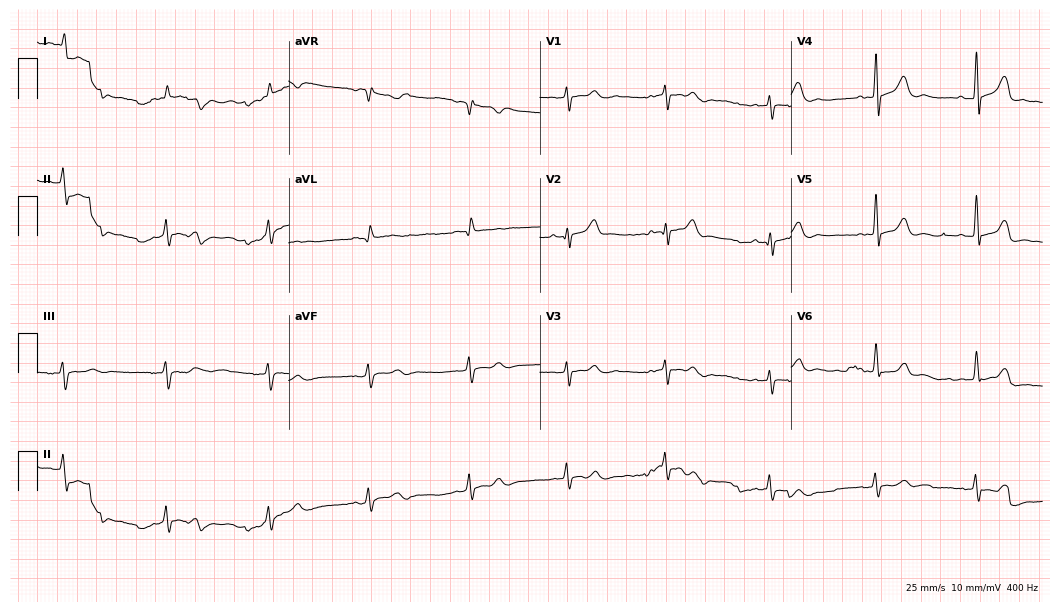
12-lead ECG from a male, 80 years old. No first-degree AV block, right bundle branch block (RBBB), left bundle branch block (LBBB), sinus bradycardia, atrial fibrillation (AF) or sinus tachycardia recorded for this tracing. Only these six findings were labelled.